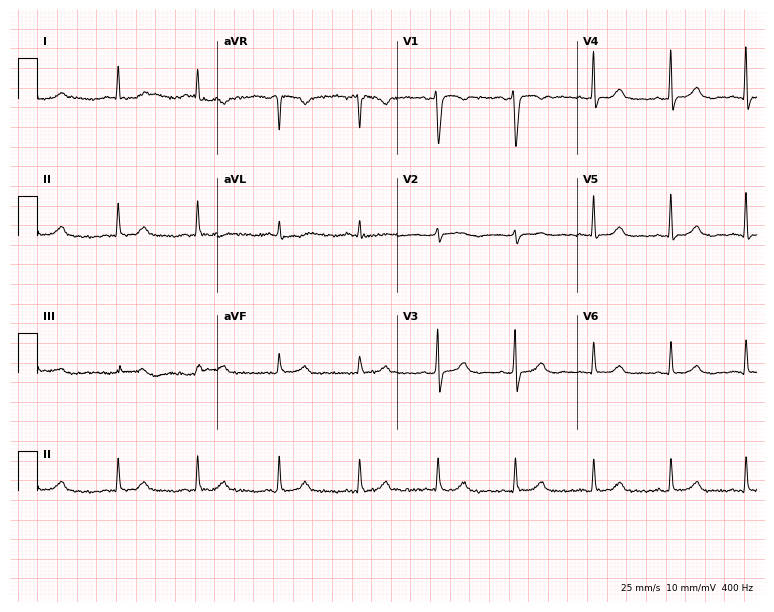
12-lead ECG from a woman, 42 years old. Recorded interpretation: within normal limits.